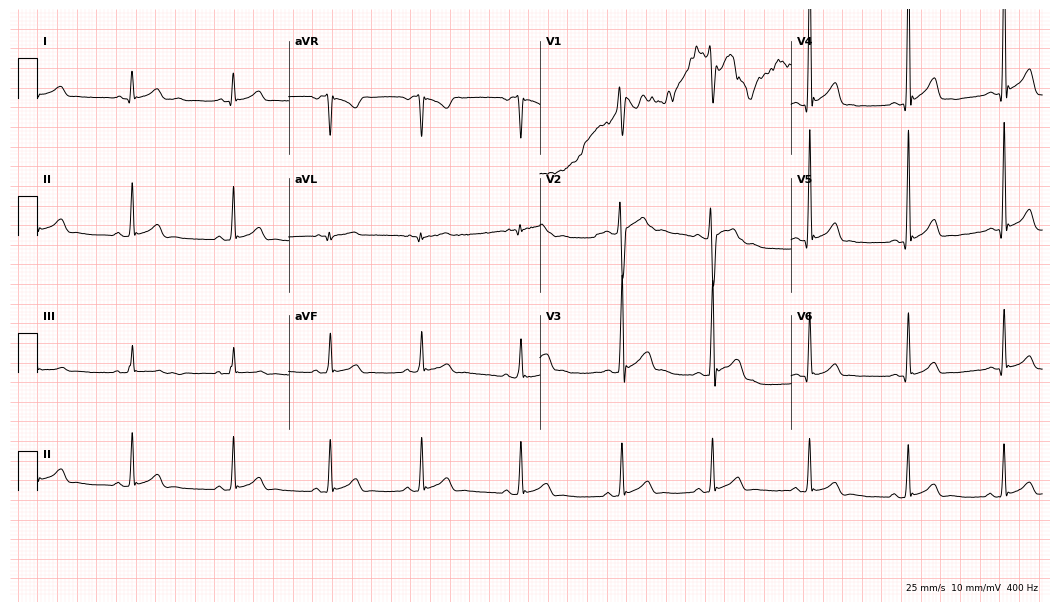
12-lead ECG from a 19-year-old male patient. Screened for six findings — first-degree AV block, right bundle branch block, left bundle branch block, sinus bradycardia, atrial fibrillation, sinus tachycardia — none is recorded. Only these six findings were labelled.